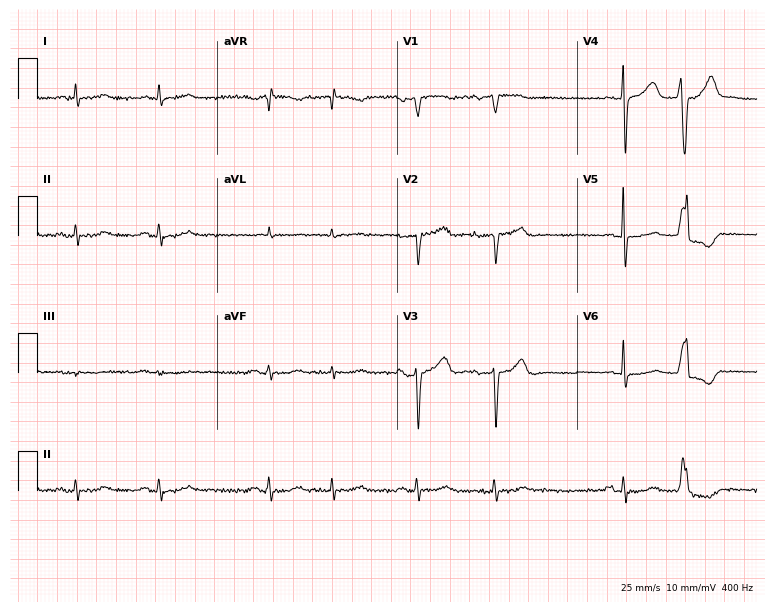
ECG (7.3-second recording at 400 Hz) — a male, 78 years old. Screened for six findings — first-degree AV block, right bundle branch block, left bundle branch block, sinus bradycardia, atrial fibrillation, sinus tachycardia — none is recorded. Only these six findings were labelled.